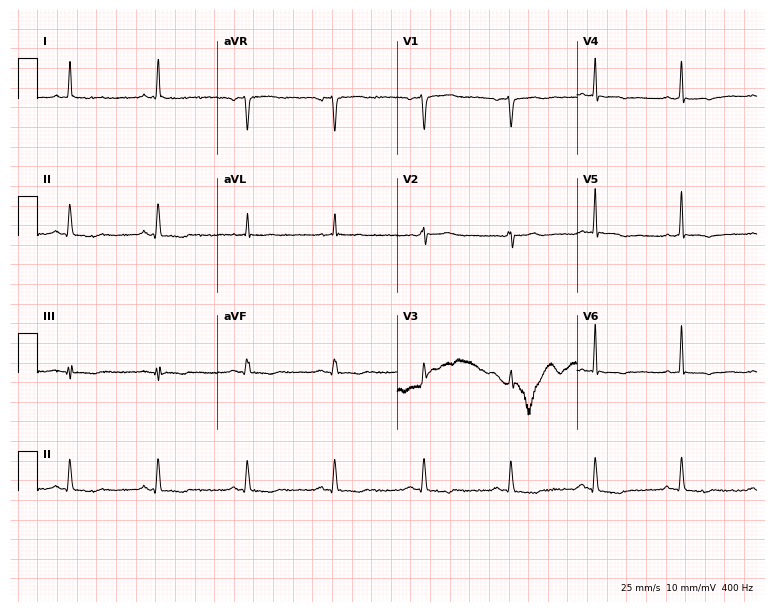
12-lead ECG from a 60-year-old female (7.3-second recording at 400 Hz). No first-degree AV block, right bundle branch block, left bundle branch block, sinus bradycardia, atrial fibrillation or sinus tachycardia recorded for this tracing. Only these six findings were labelled.